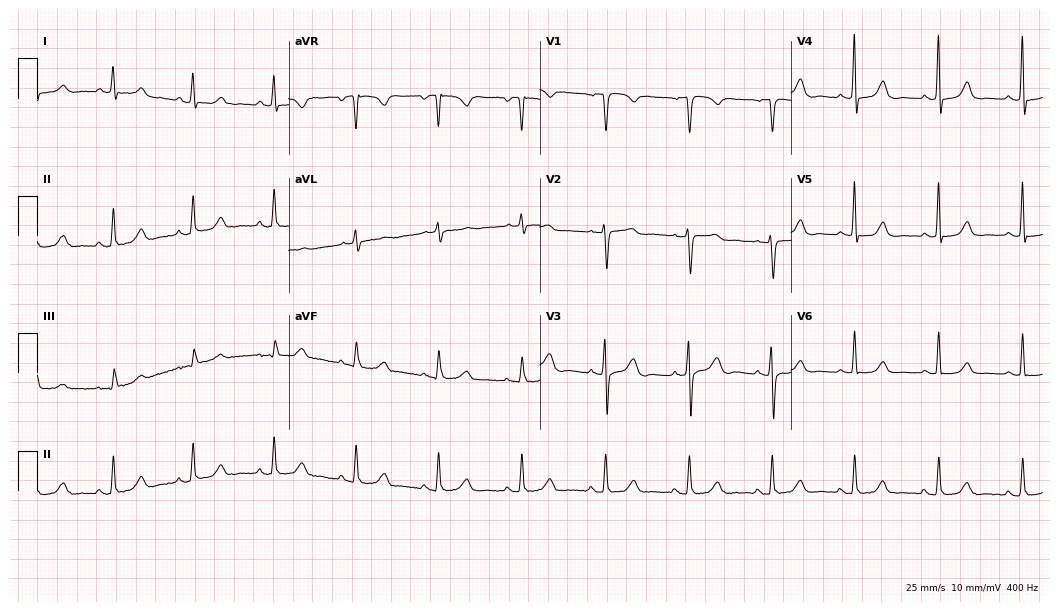
ECG — a 56-year-old woman. Screened for six findings — first-degree AV block, right bundle branch block, left bundle branch block, sinus bradycardia, atrial fibrillation, sinus tachycardia — none is recorded.